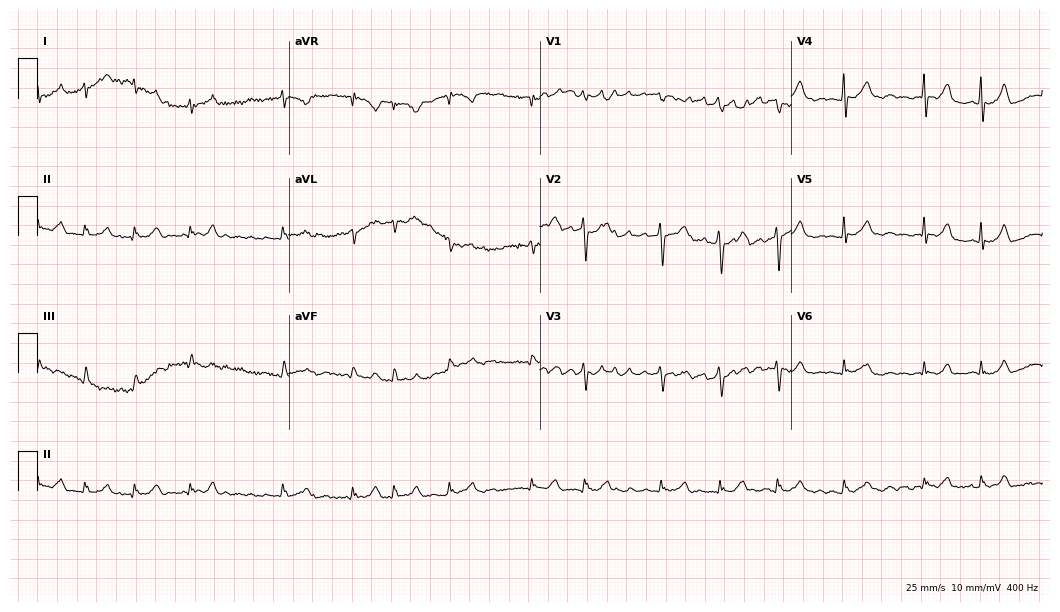
Standard 12-lead ECG recorded from a woman, 76 years old. The tracing shows atrial fibrillation (AF).